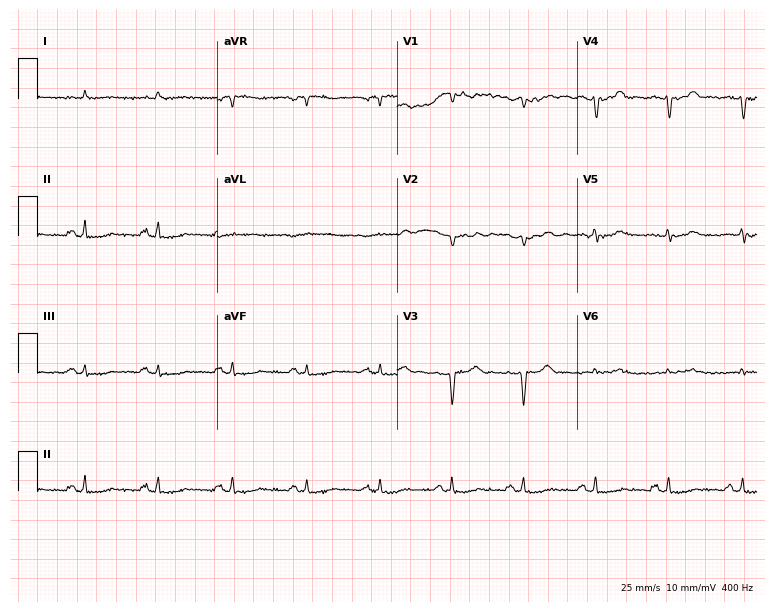
Electrocardiogram, a man, 83 years old. Of the six screened findings (first-degree AV block, right bundle branch block, left bundle branch block, sinus bradycardia, atrial fibrillation, sinus tachycardia), none is recorded.